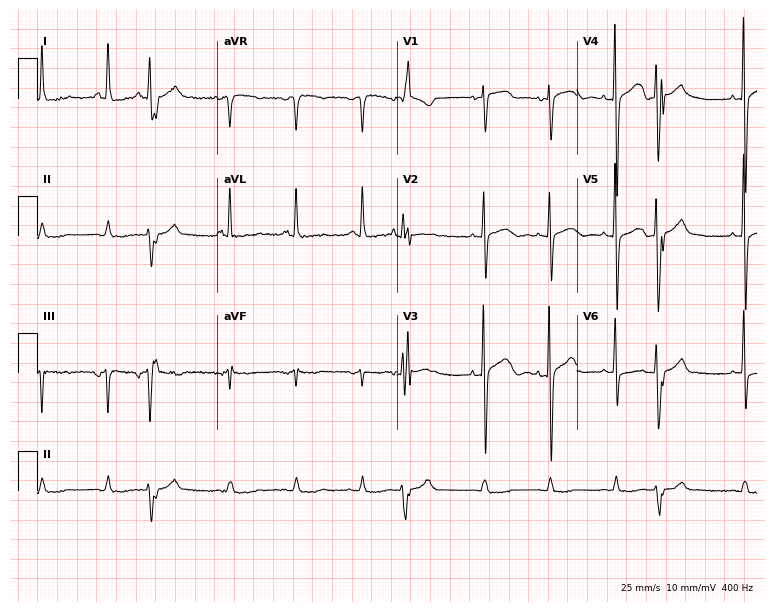
12-lead ECG from a female, 81 years old. Screened for six findings — first-degree AV block, right bundle branch block, left bundle branch block, sinus bradycardia, atrial fibrillation, sinus tachycardia — none is recorded.